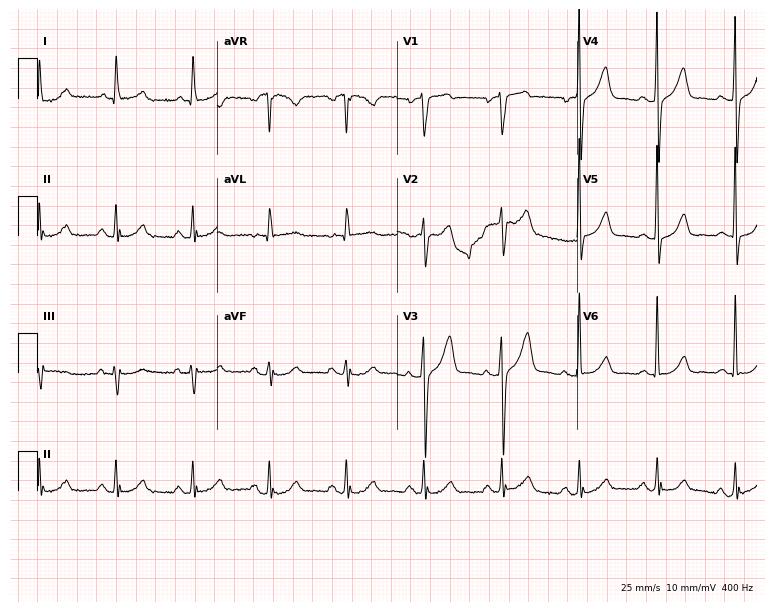
Electrocardiogram, a male, 74 years old. Overall reading on record: normal ECG.